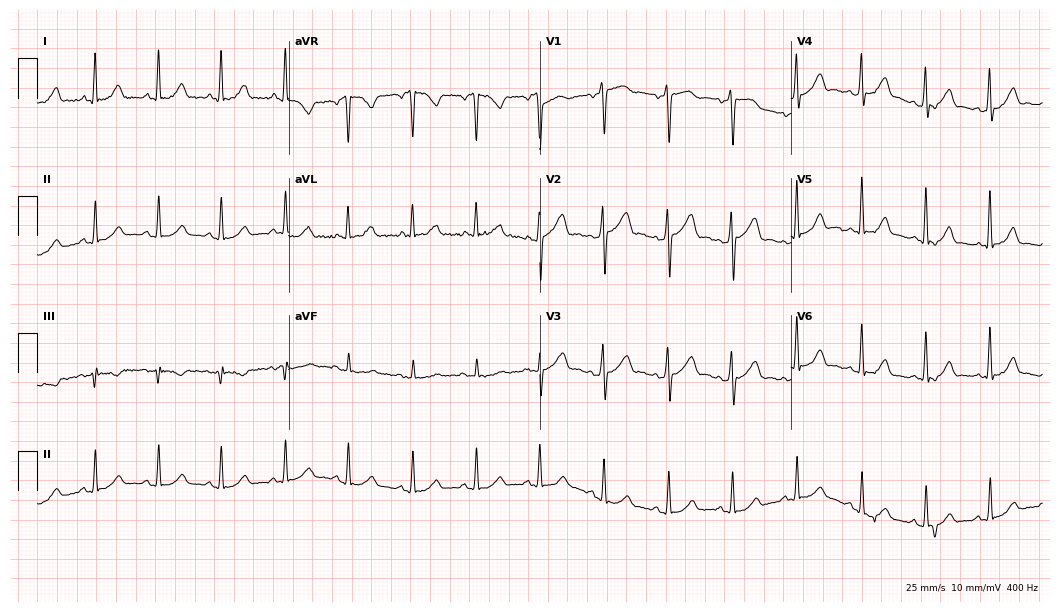
Resting 12-lead electrocardiogram. Patient: a man, 34 years old. Read as a normal ECG.